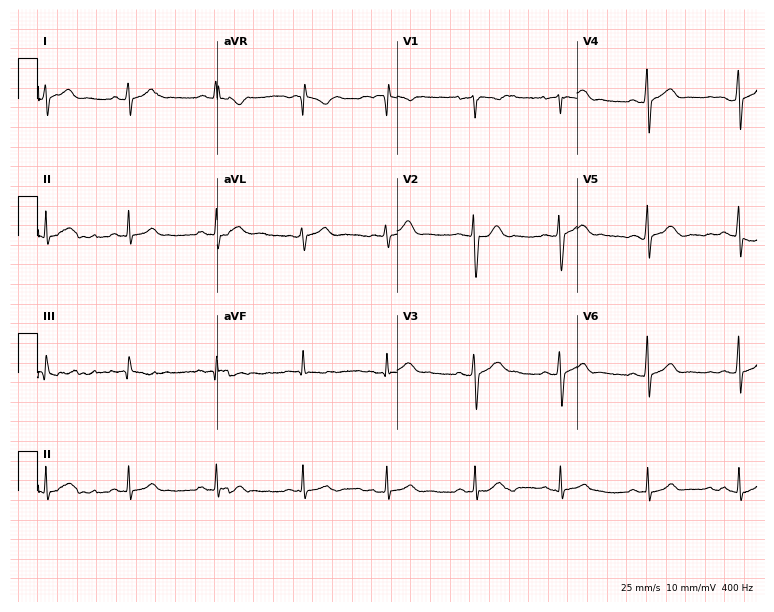
Standard 12-lead ECG recorded from a 22-year-old male patient (7.3-second recording at 400 Hz). Read as a normal ECG.